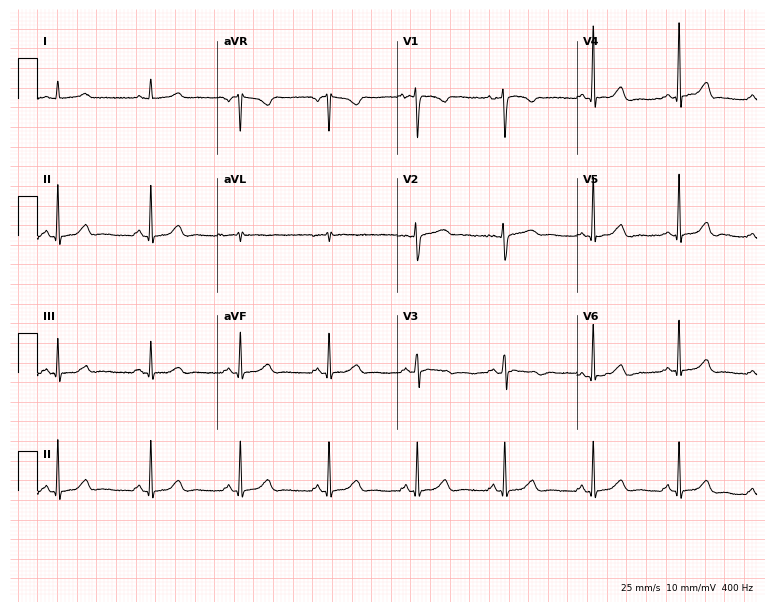
Resting 12-lead electrocardiogram (7.3-second recording at 400 Hz). Patient: a 46-year-old female. Read as a normal ECG.